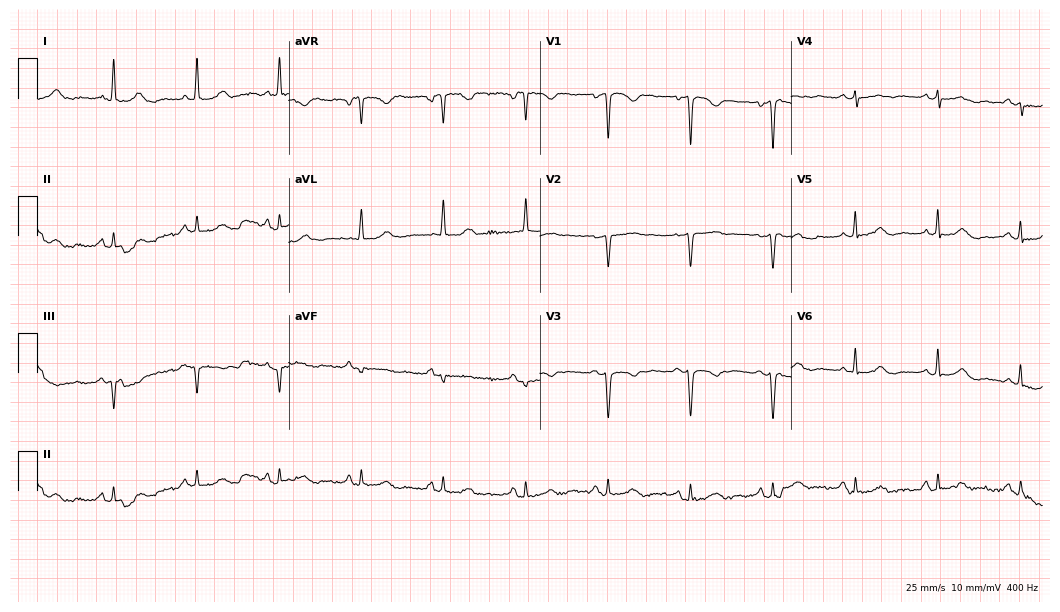
Resting 12-lead electrocardiogram (10.2-second recording at 400 Hz). Patient: a 70-year-old female. None of these six findings is recorded: first-degree AV block, right bundle branch block (RBBB), left bundle branch block (LBBB), sinus bradycardia, atrial fibrillation (AF), sinus tachycardia. Findings outside these six are not listed.